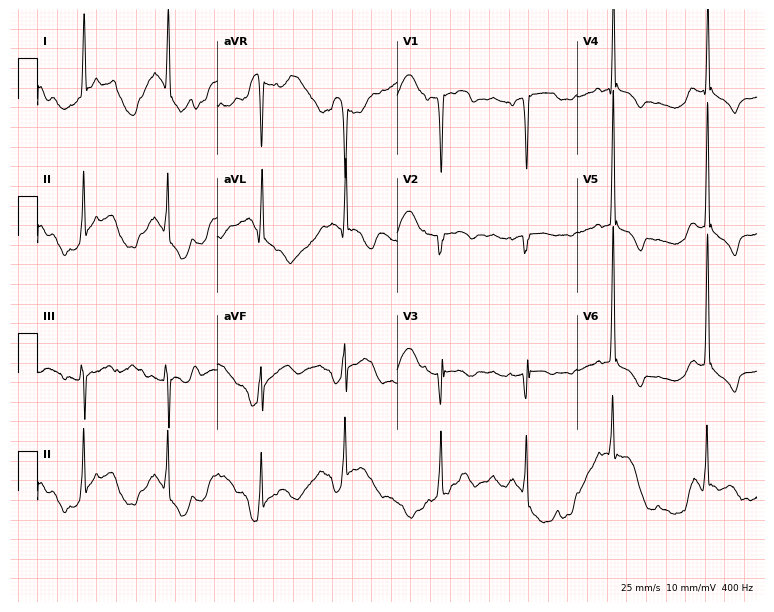
Standard 12-lead ECG recorded from a 58-year-old man. None of these six findings is recorded: first-degree AV block, right bundle branch block, left bundle branch block, sinus bradycardia, atrial fibrillation, sinus tachycardia. Only these six findings were labelled.